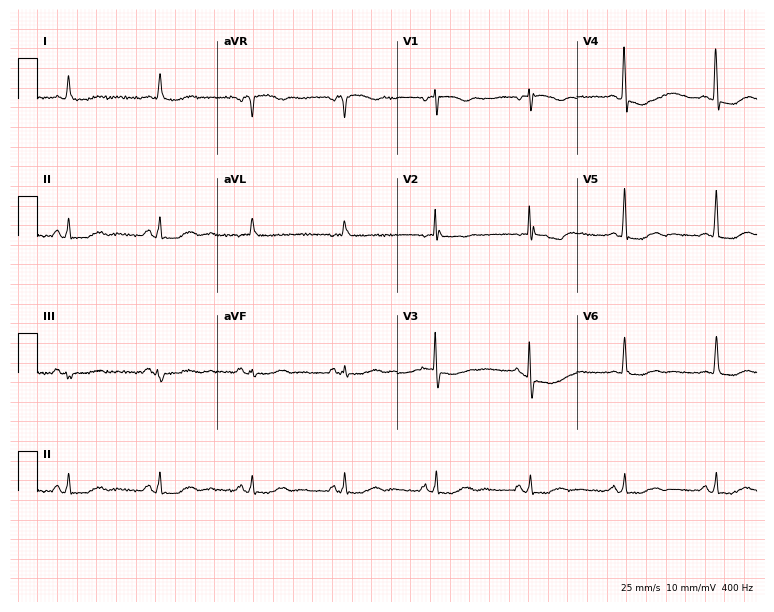
Electrocardiogram, a female patient, 67 years old. Of the six screened findings (first-degree AV block, right bundle branch block, left bundle branch block, sinus bradycardia, atrial fibrillation, sinus tachycardia), none is recorded.